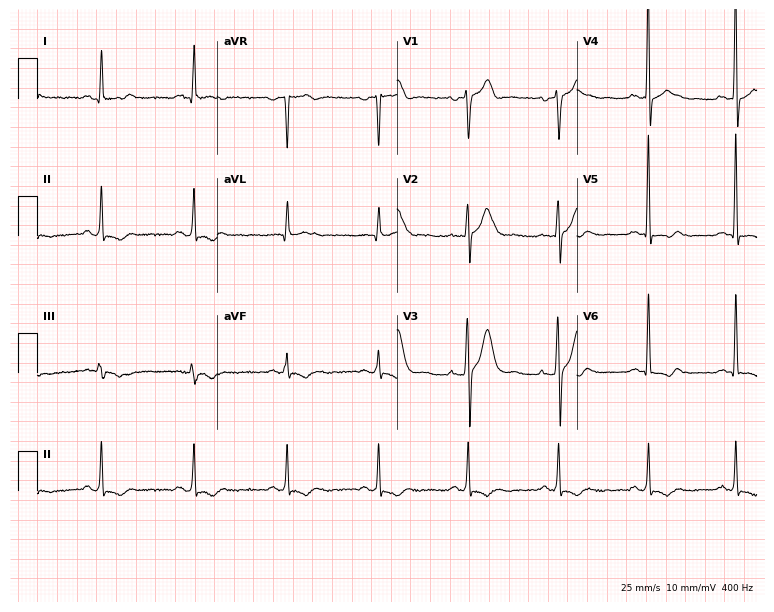
Standard 12-lead ECG recorded from a 58-year-old male. None of these six findings is recorded: first-degree AV block, right bundle branch block, left bundle branch block, sinus bradycardia, atrial fibrillation, sinus tachycardia. Findings outside these six are not listed.